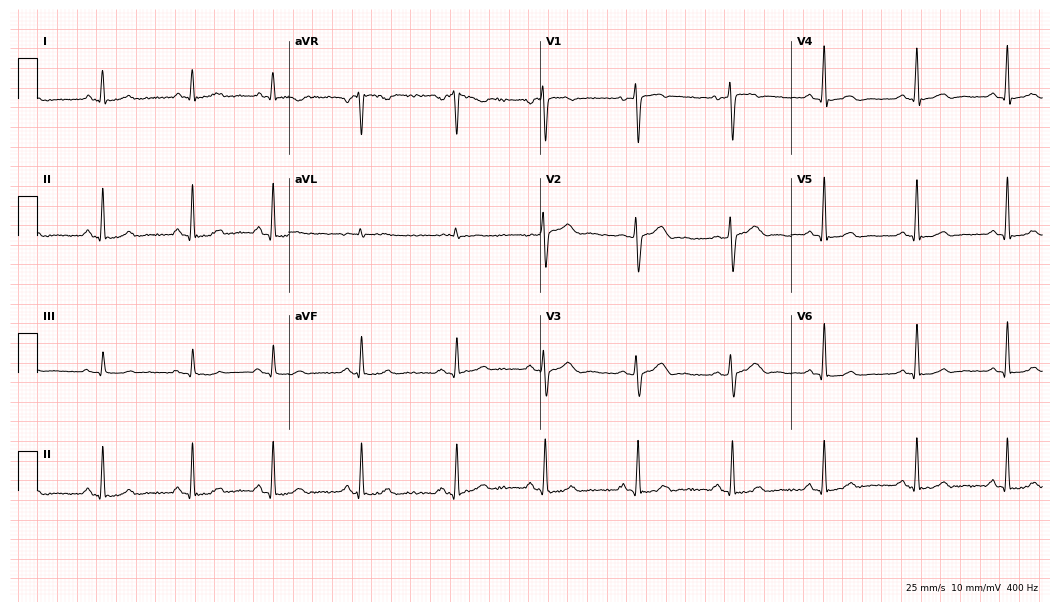
ECG — a 38-year-old woman. Labelled as a normal ECG.